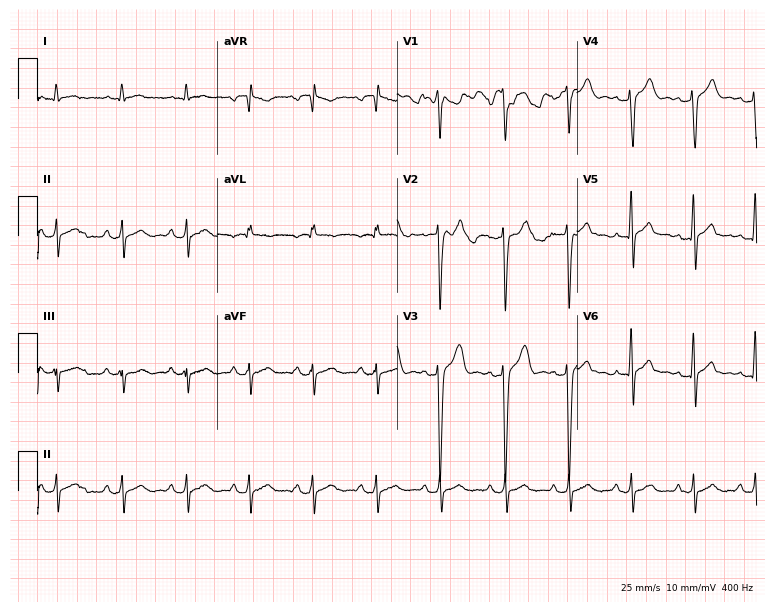
ECG — a man, 31 years old. Screened for six findings — first-degree AV block, right bundle branch block, left bundle branch block, sinus bradycardia, atrial fibrillation, sinus tachycardia — none is recorded. Findings outside these six are not listed.